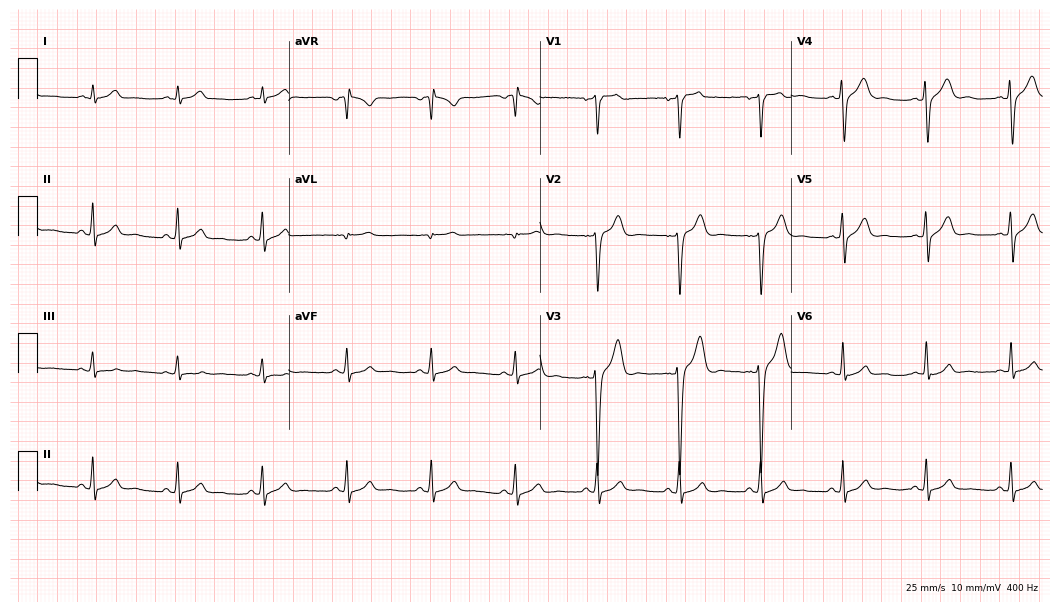
12-lead ECG (10.2-second recording at 400 Hz) from a 25-year-old man. Screened for six findings — first-degree AV block, right bundle branch block, left bundle branch block, sinus bradycardia, atrial fibrillation, sinus tachycardia — none is recorded.